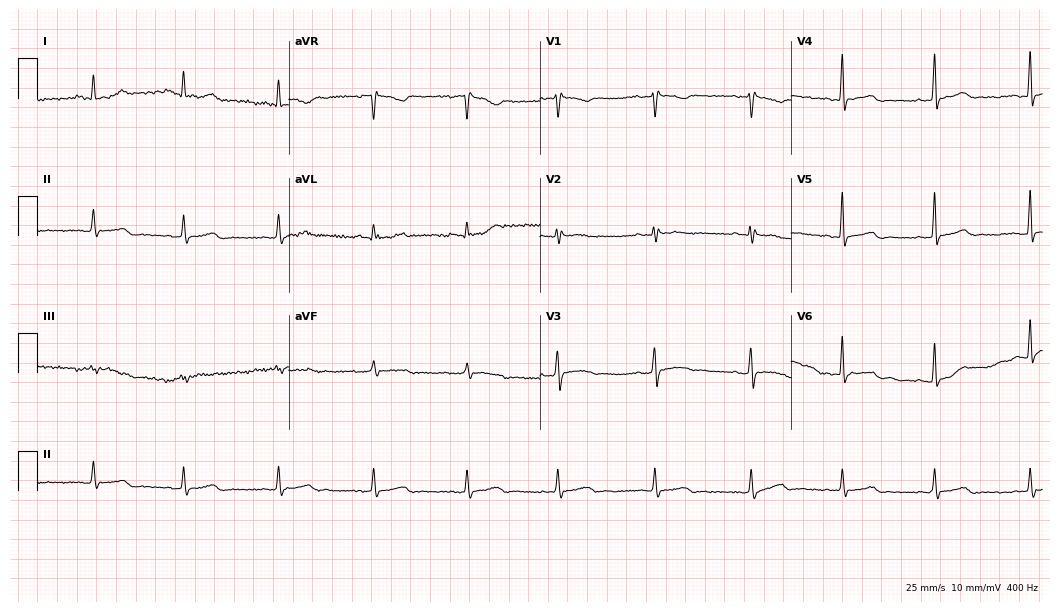
Resting 12-lead electrocardiogram. Patient: a female, 32 years old. None of these six findings is recorded: first-degree AV block, right bundle branch block, left bundle branch block, sinus bradycardia, atrial fibrillation, sinus tachycardia.